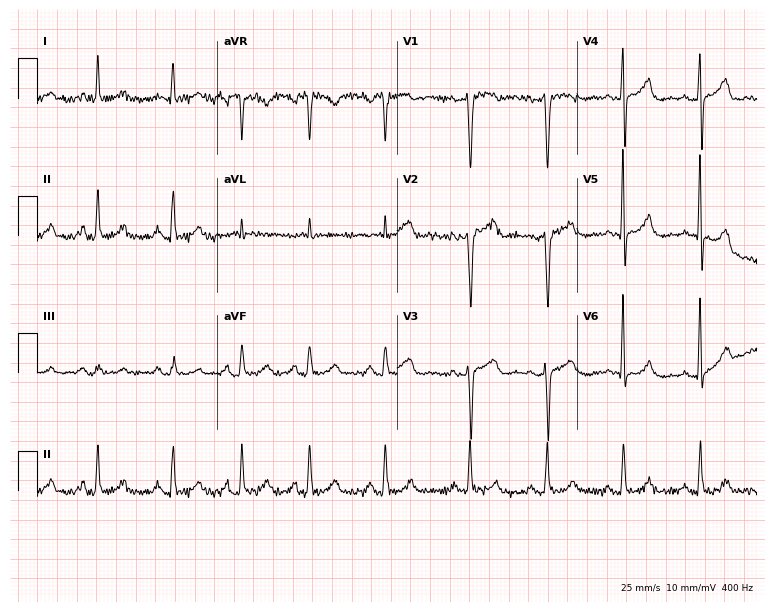
Electrocardiogram, a woman, 46 years old. Of the six screened findings (first-degree AV block, right bundle branch block (RBBB), left bundle branch block (LBBB), sinus bradycardia, atrial fibrillation (AF), sinus tachycardia), none is recorded.